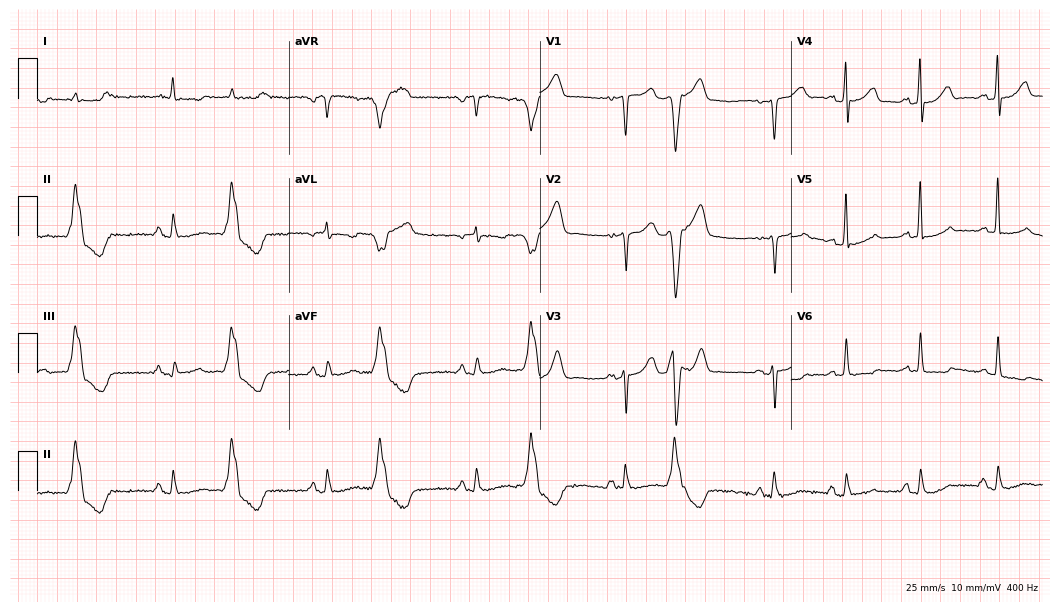
Electrocardiogram, a 66-year-old man. Overall reading on record: normal ECG.